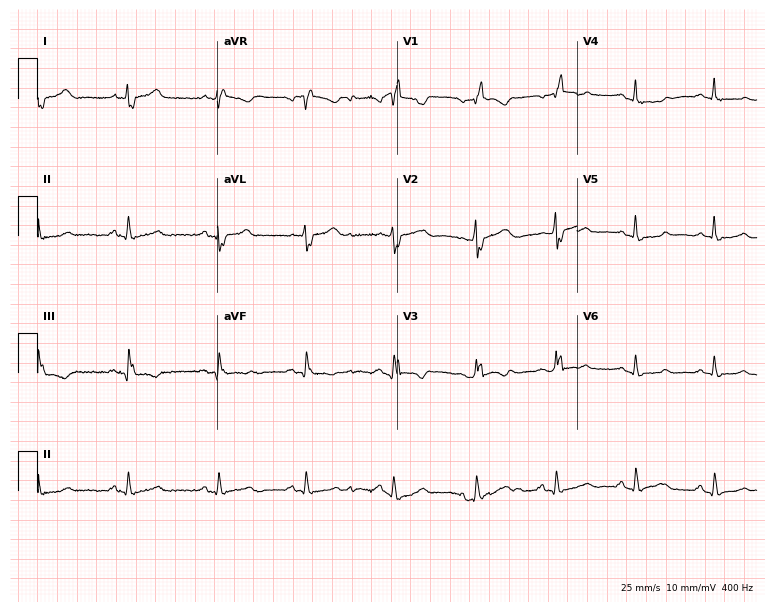
Resting 12-lead electrocardiogram (7.3-second recording at 400 Hz). Patient: a 63-year-old woman. The tracing shows right bundle branch block.